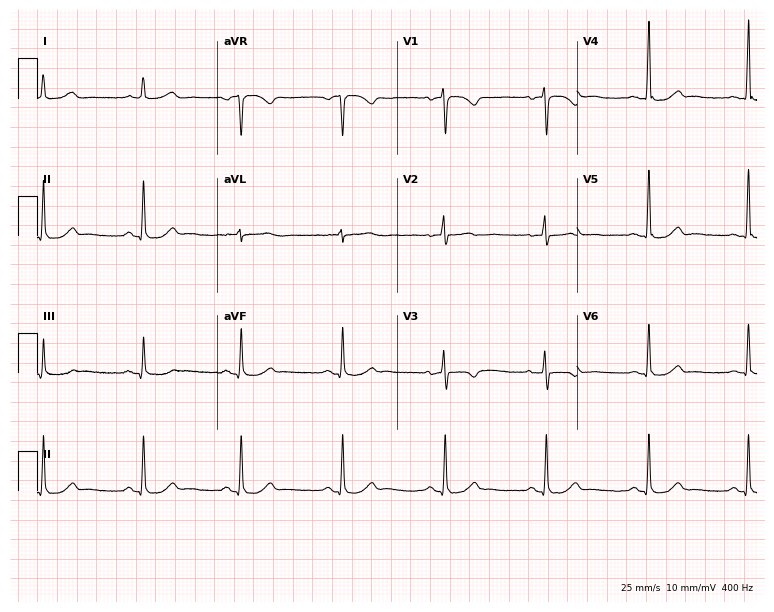
ECG — a female patient, 46 years old. Labelled as a normal ECG.